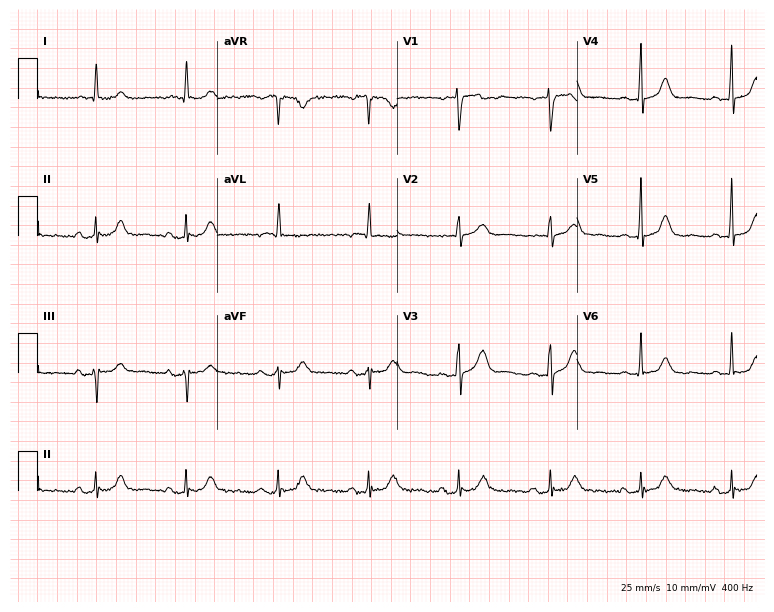
Resting 12-lead electrocardiogram (7.3-second recording at 400 Hz). Patient: a 76-year-old female. Read as a normal ECG.